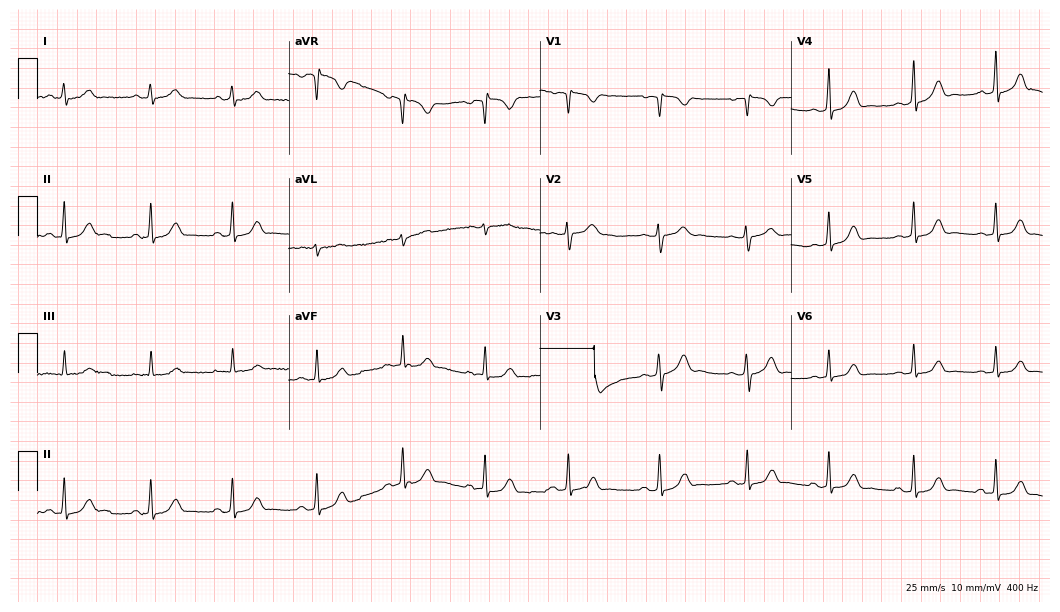
12-lead ECG from a female, 31 years old (10.2-second recording at 400 Hz). Shows atrial fibrillation.